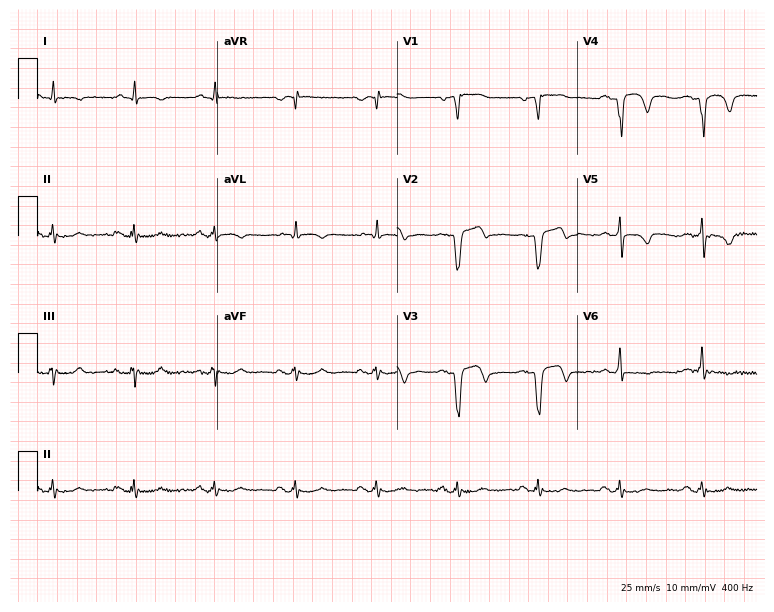
12-lead ECG from a 58-year-old male patient. Screened for six findings — first-degree AV block, right bundle branch block (RBBB), left bundle branch block (LBBB), sinus bradycardia, atrial fibrillation (AF), sinus tachycardia — none is recorded.